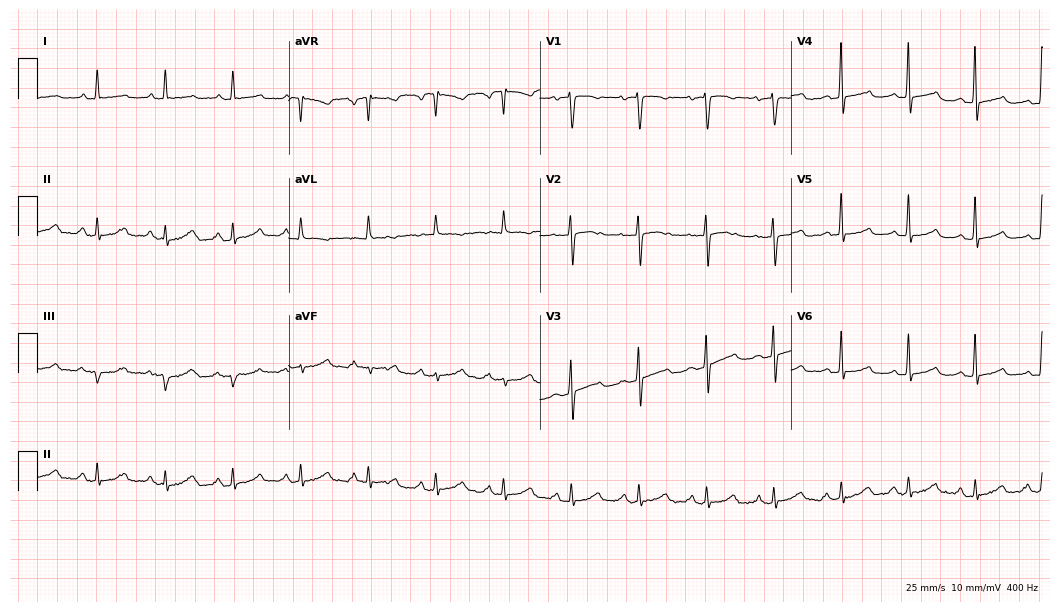
12-lead ECG from a woman, 76 years old. Labelled as a normal ECG.